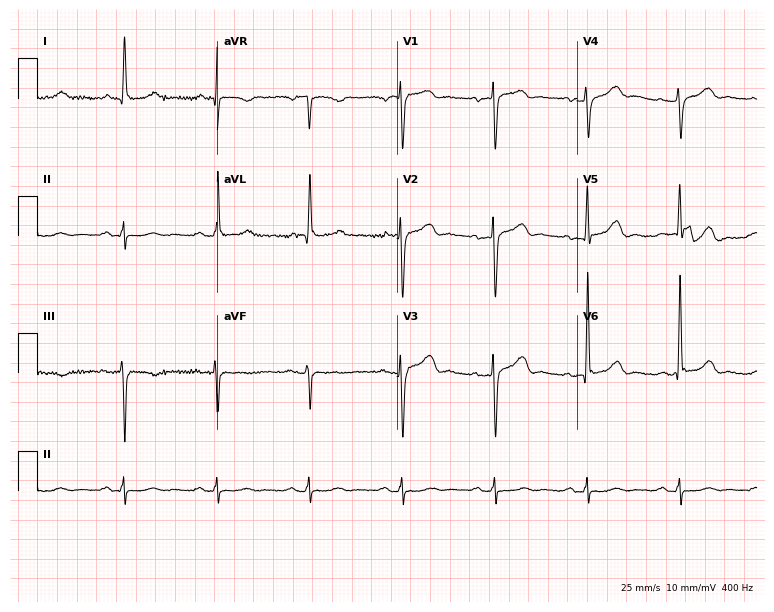
12-lead ECG (7.3-second recording at 400 Hz) from a female patient, 80 years old. Screened for six findings — first-degree AV block, right bundle branch block, left bundle branch block, sinus bradycardia, atrial fibrillation, sinus tachycardia — none is recorded.